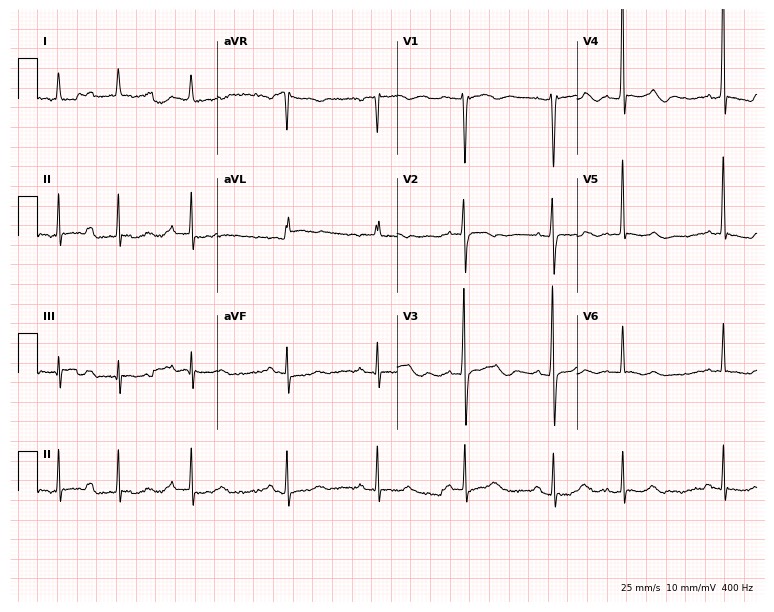
Standard 12-lead ECG recorded from an 83-year-old female. None of these six findings is recorded: first-degree AV block, right bundle branch block, left bundle branch block, sinus bradycardia, atrial fibrillation, sinus tachycardia.